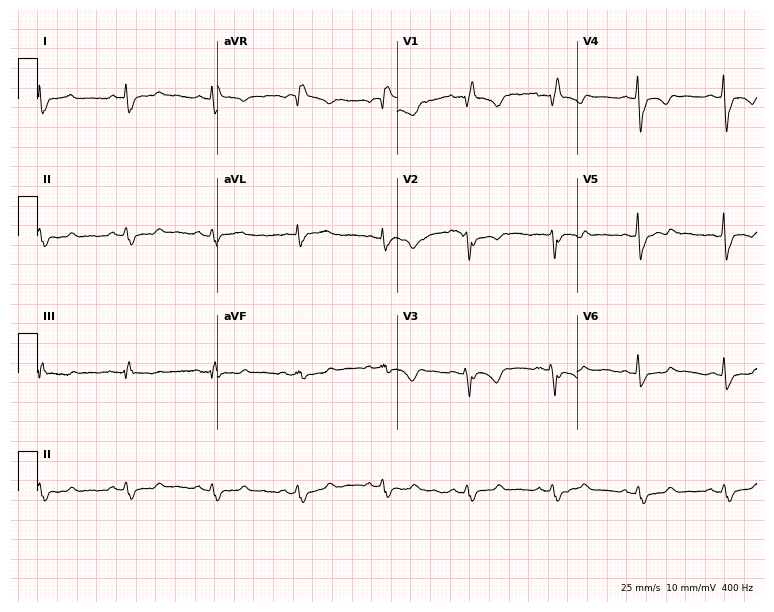
Resting 12-lead electrocardiogram. Patient: a 61-year-old female. The tracing shows right bundle branch block.